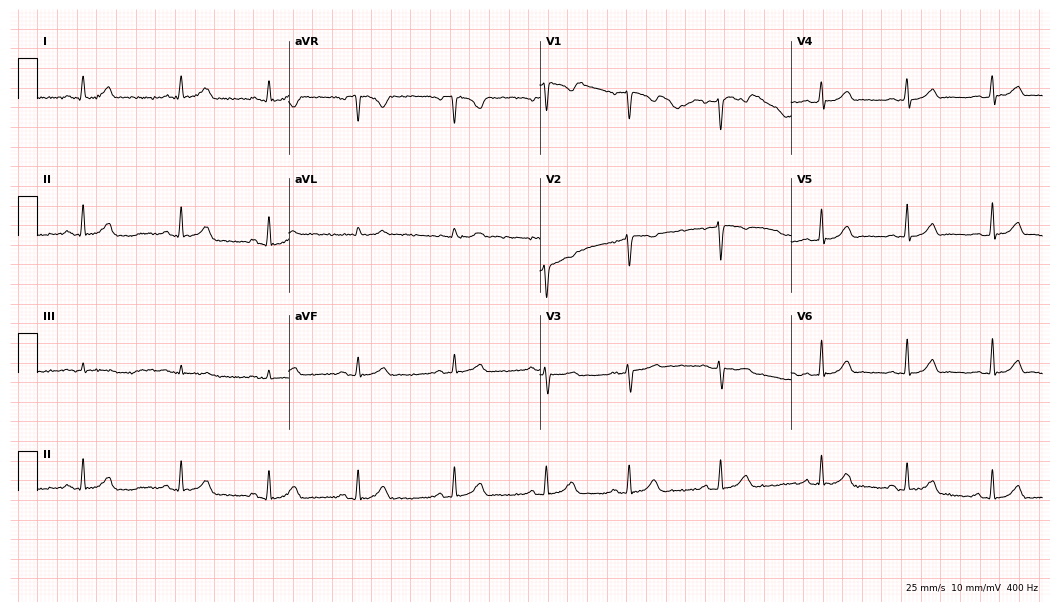
12-lead ECG (10.2-second recording at 400 Hz) from a woman, 28 years old. Screened for six findings — first-degree AV block, right bundle branch block (RBBB), left bundle branch block (LBBB), sinus bradycardia, atrial fibrillation (AF), sinus tachycardia — none is recorded.